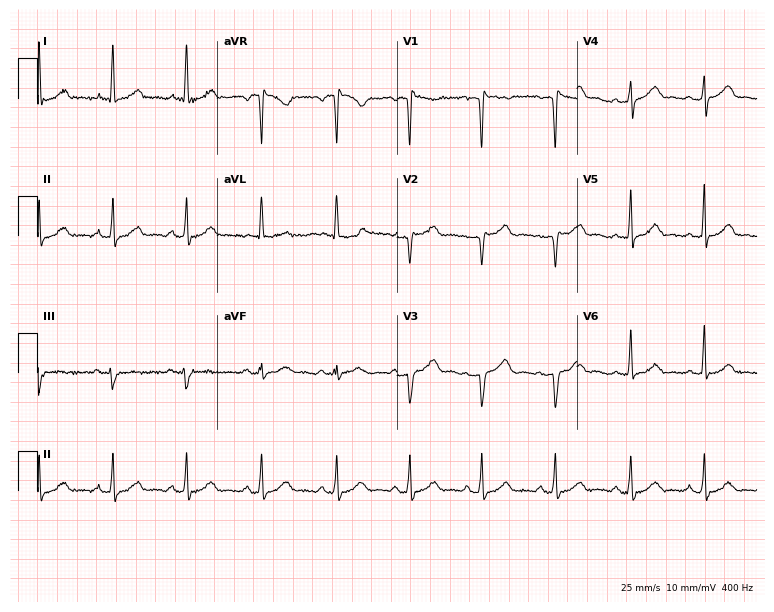
Standard 12-lead ECG recorded from a 46-year-old female patient (7.3-second recording at 400 Hz). Read as a normal ECG.